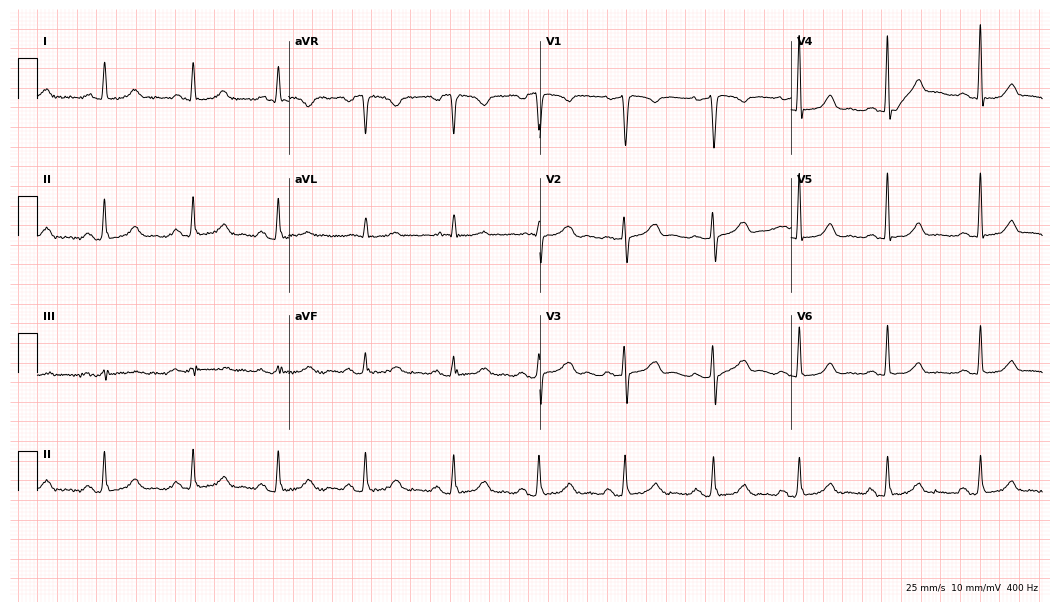
12-lead ECG from a 50-year-old woman. Labelled as a normal ECG.